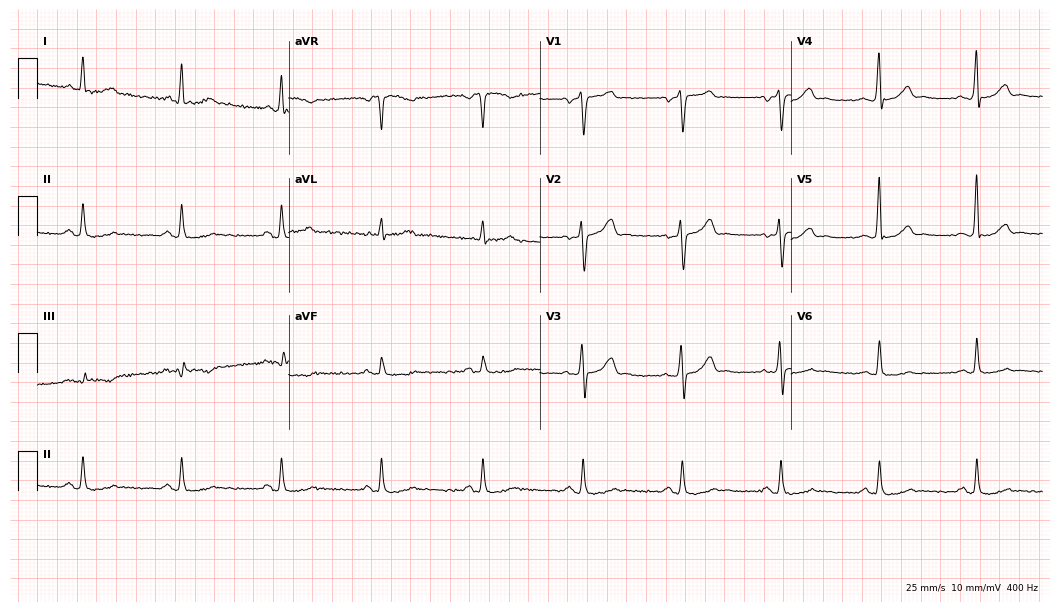
ECG — a male patient, 37 years old. Screened for six findings — first-degree AV block, right bundle branch block, left bundle branch block, sinus bradycardia, atrial fibrillation, sinus tachycardia — none is recorded.